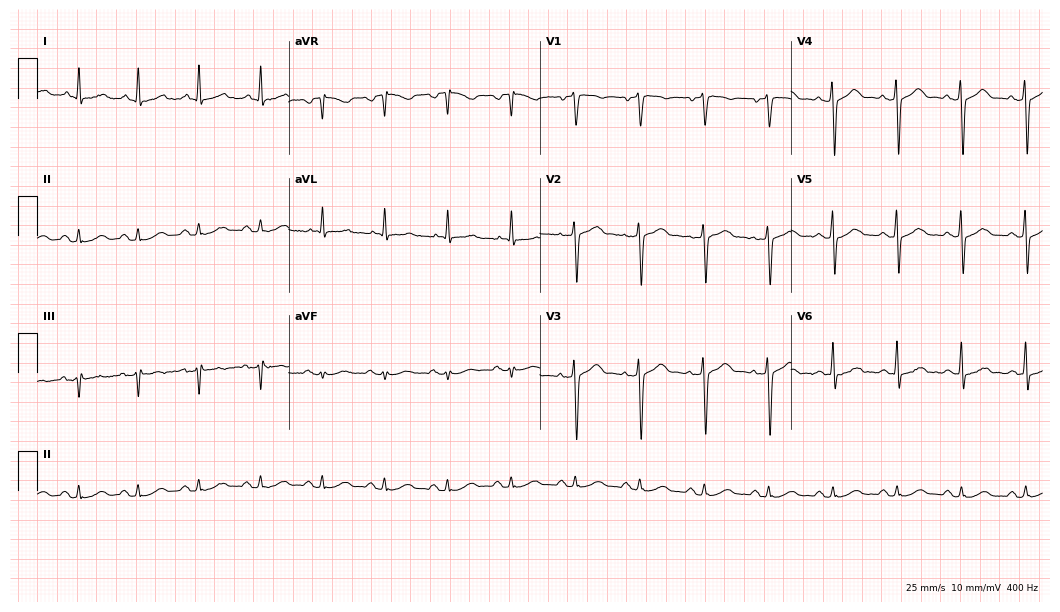
Resting 12-lead electrocardiogram. Patient: a male, 57 years old. Read as a normal ECG.